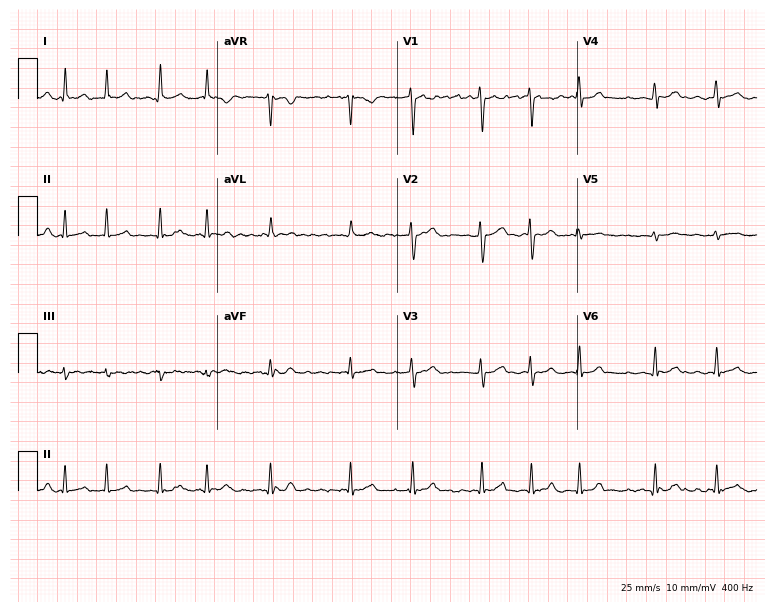
Electrocardiogram, a woman, 35 years old. Interpretation includes atrial fibrillation (AF).